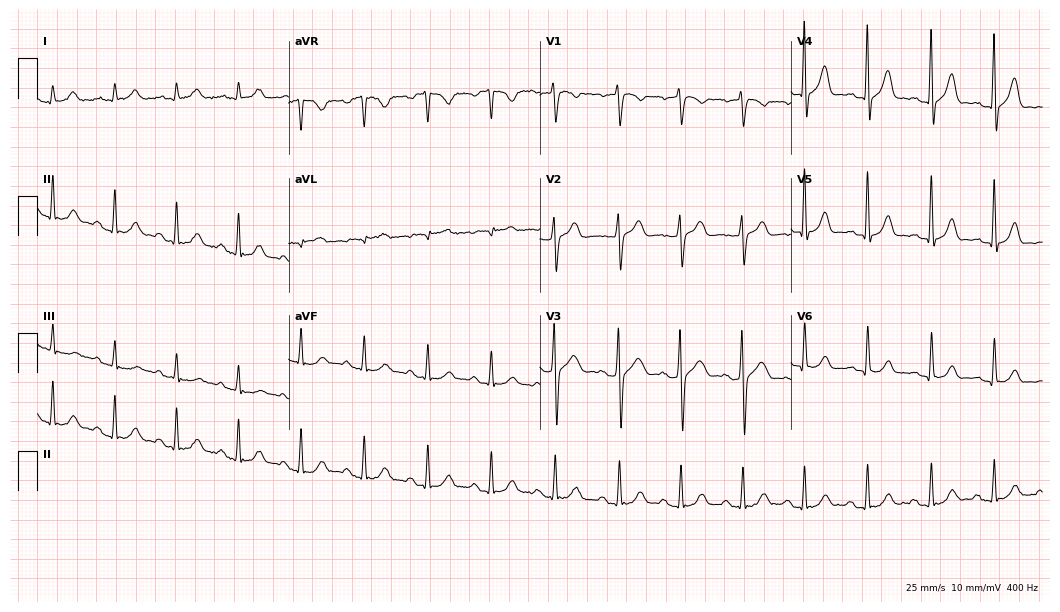
12-lead ECG (10.2-second recording at 400 Hz) from a man, 28 years old. Labelled as a normal ECG.